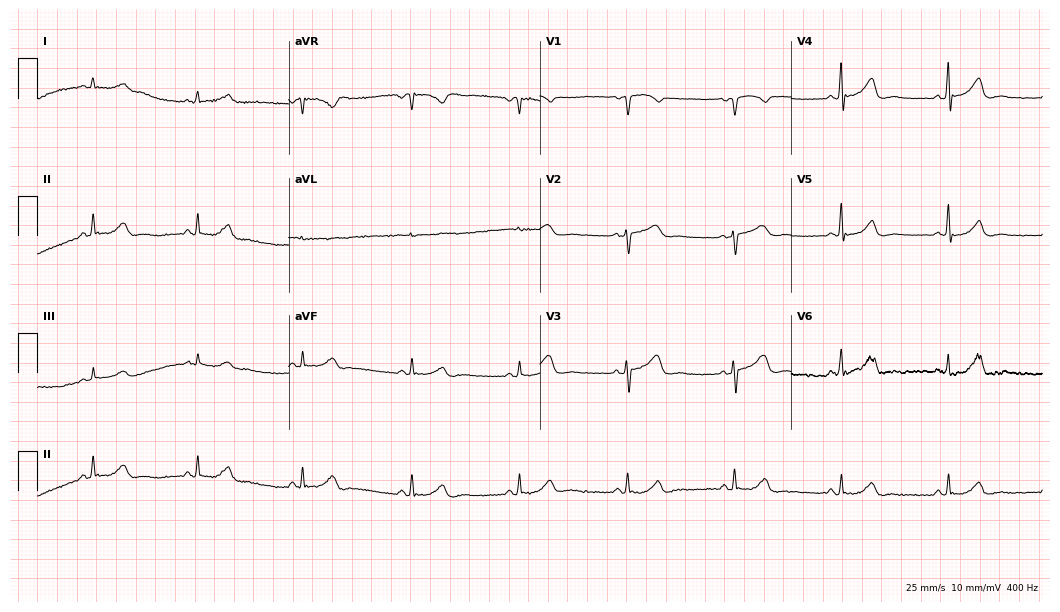
12-lead ECG (10.2-second recording at 400 Hz) from a 68-year-old man. Labelled as a normal ECG.